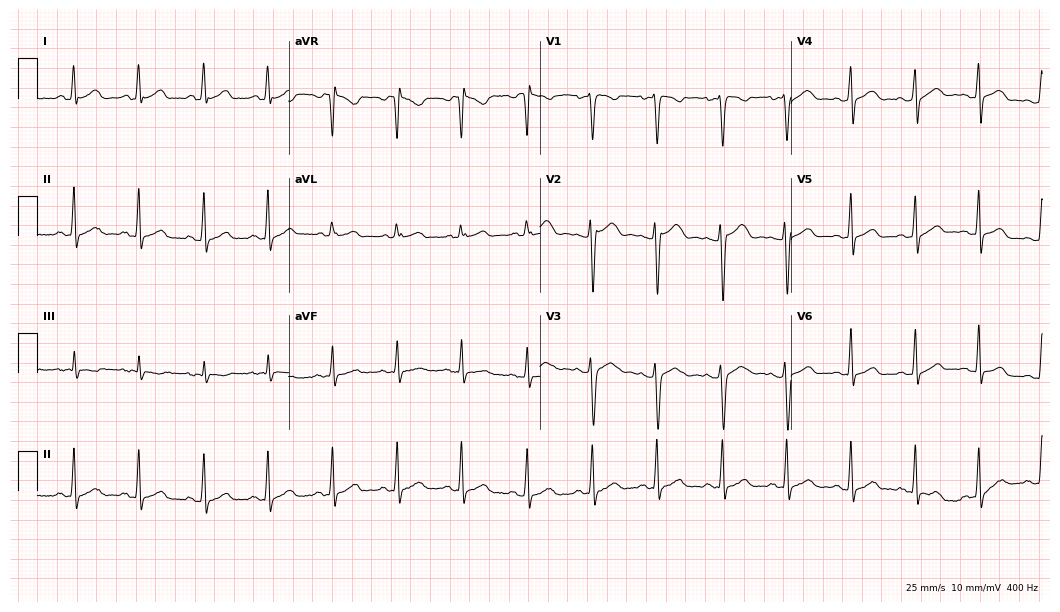
Electrocardiogram, a 17-year-old woman. Overall reading on record: normal ECG.